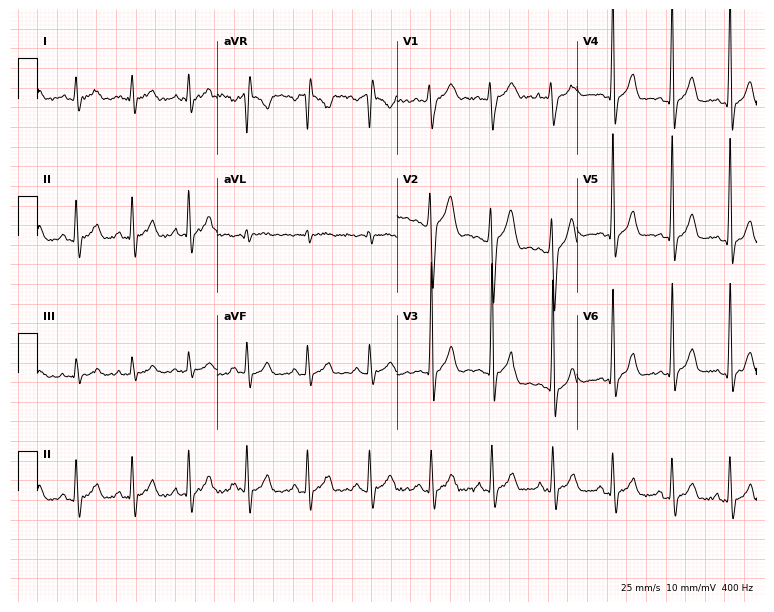
12-lead ECG (7.3-second recording at 400 Hz) from a 24-year-old male. Screened for six findings — first-degree AV block, right bundle branch block, left bundle branch block, sinus bradycardia, atrial fibrillation, sinus tachycardia — none is recorded. Only these six findings were labelled.